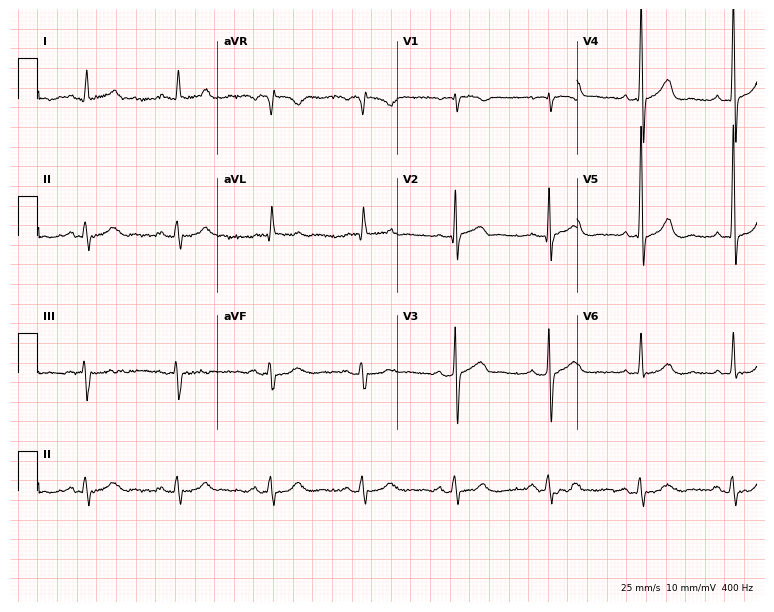
Standard 12-lead ECG recorded from a 77-year-old man (7.3-second recording at 400 Hz). Read as a normal ECG.